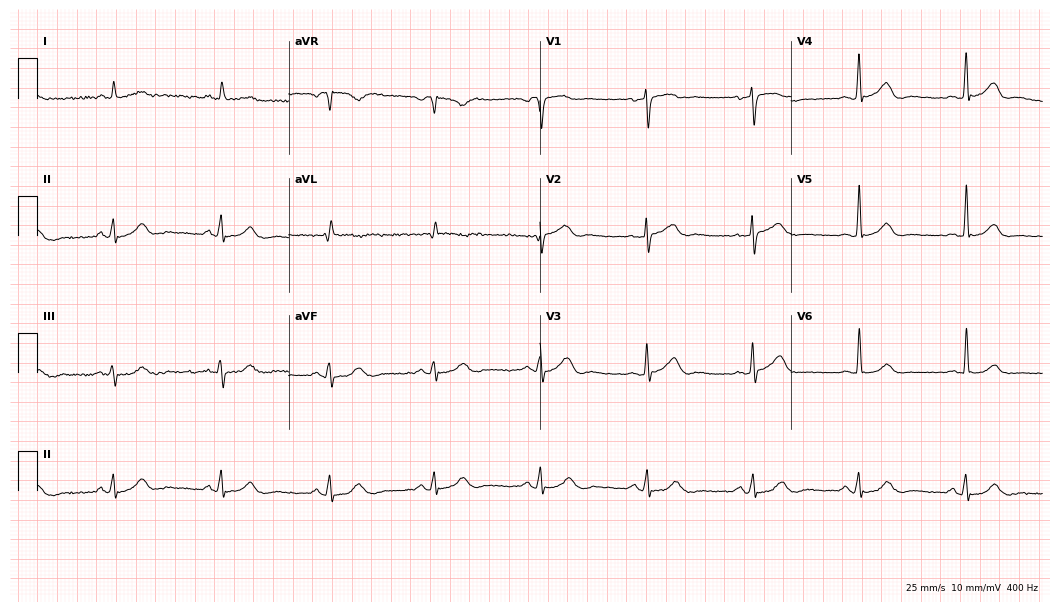
ECG (10.2-second recording at 400 Hz) — a male patient, 79 years old. Labelled as a normal ECG.